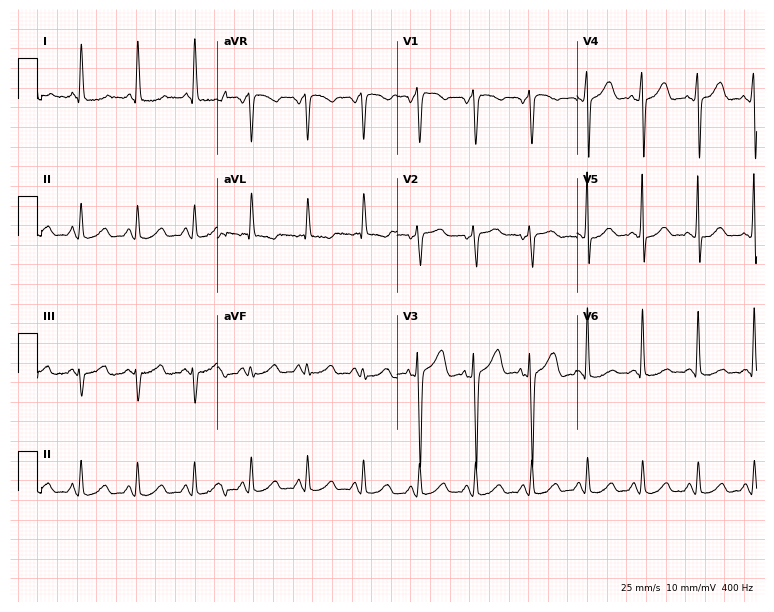
12-lead ECG (7.3-second recording at 400 Hz) from a male, 52 years old. Findings include sinus tachycardia (a sinus rate of 100 beats per minute or more).